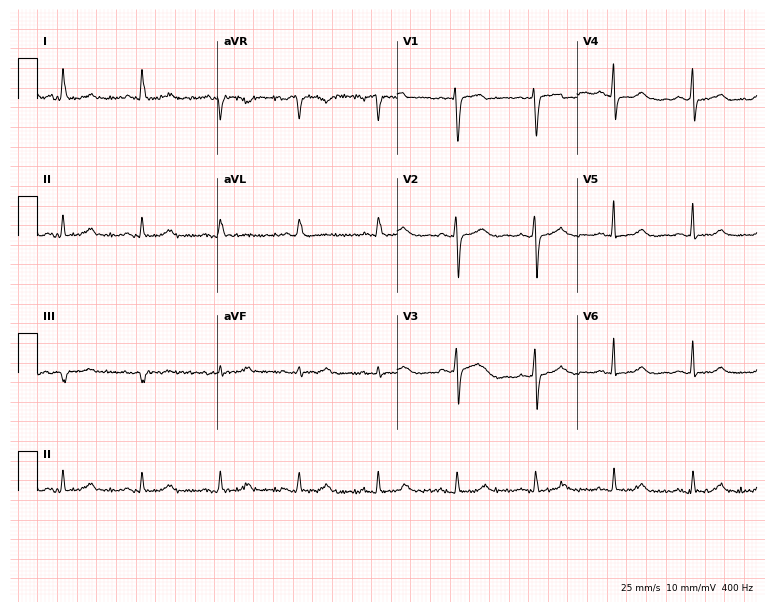
ECG (7.3-second recording at 400 Hz) — a 75-year-old female. Labelled as a normal ECG.